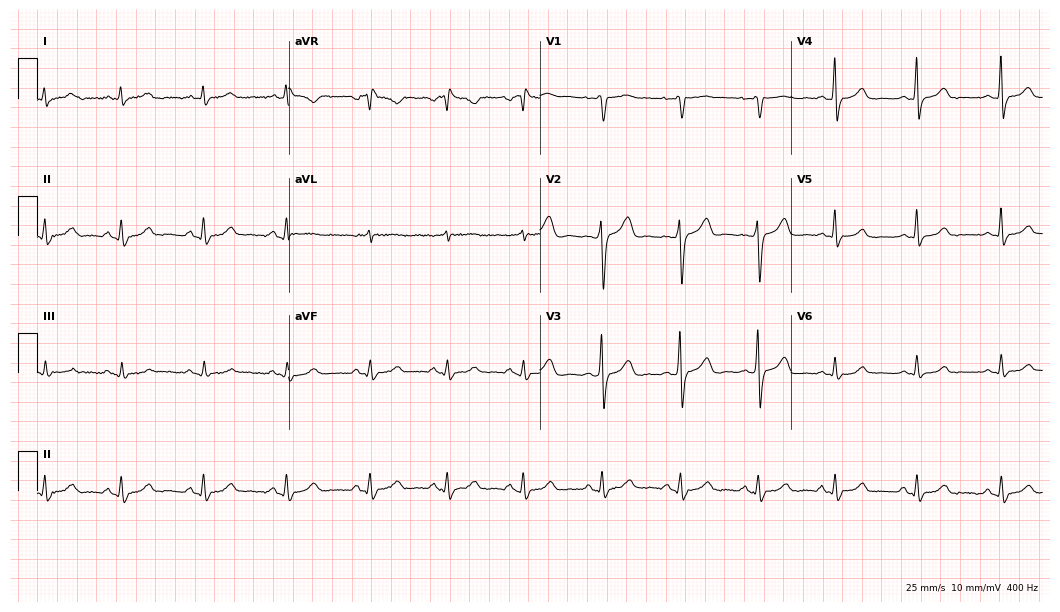
Electrocardiogram (10.2-second recording at 400 Hz), a female, 42 years old. Of the six screened findings (first-degree AV block, right bundle branch block (RBBB), left bundle branch block (LBBB), sinus bradycardia, atrial fibrillation (AF), sinus tachycardia), none is recorded.